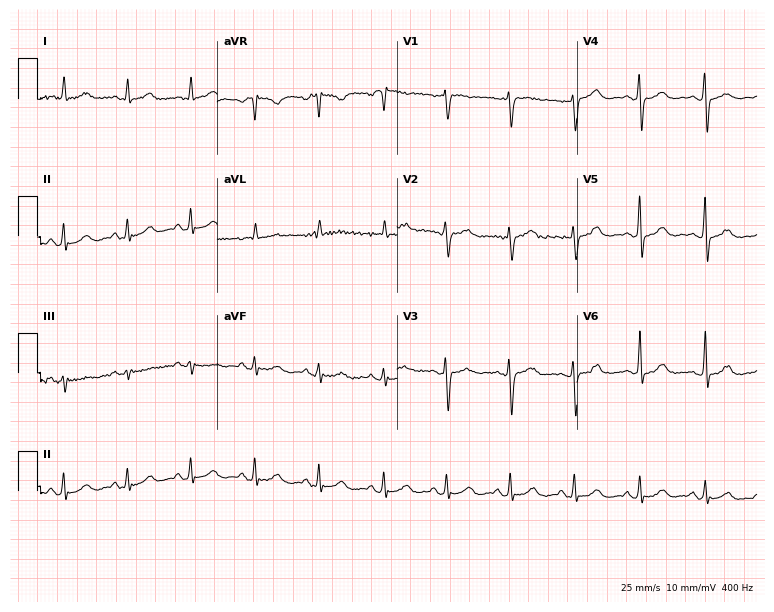
Standard 12-lead ECG recorded from a 59-year-old female patient (7.3-second recording at 400 Hz). Read as a normal ECG.